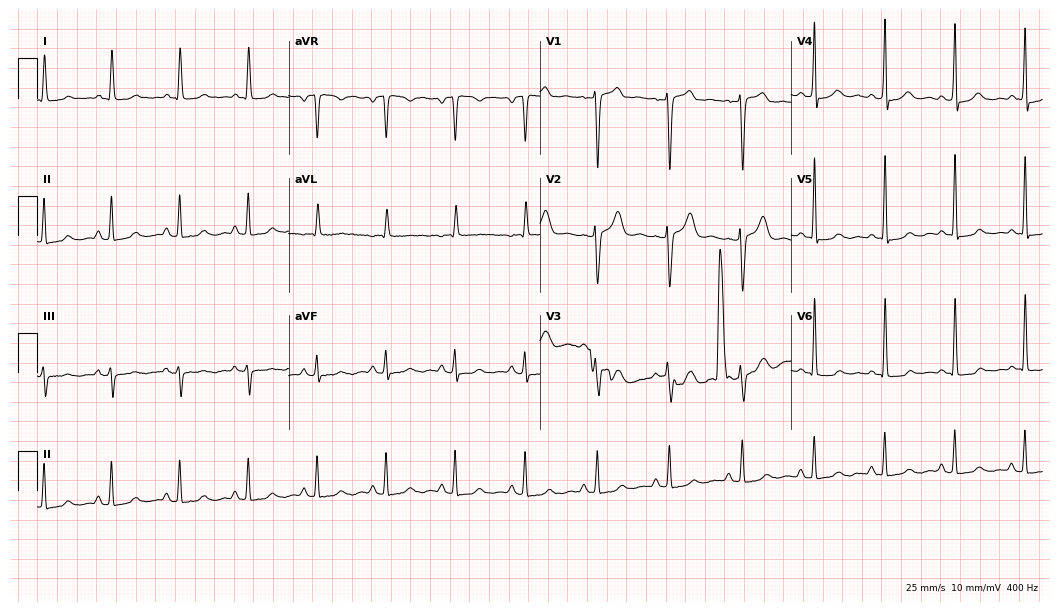
Electrocardiogram, a woman, 38 years old. Of the six screened findings (first-degree AV block, right bundle branch block, left bundle branch block, sinus bradycardia, atrial fibrillation, sinus tachycardia), none is recorded.